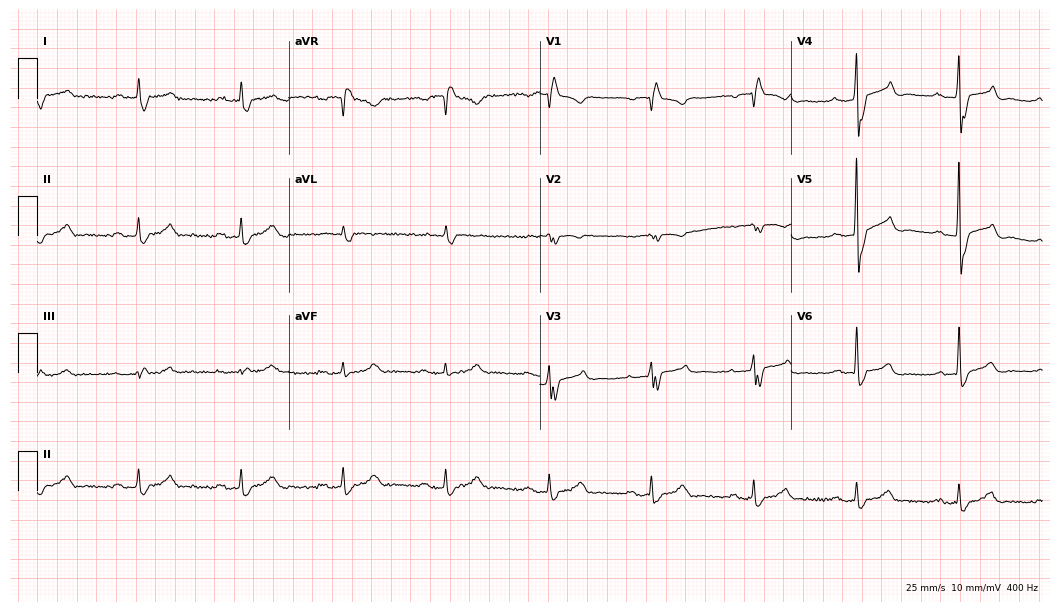
ECG (10.2-second recording at 400 Hz) — a male, 74 years old. Findings include first-degree AV block, right bundle branch block.